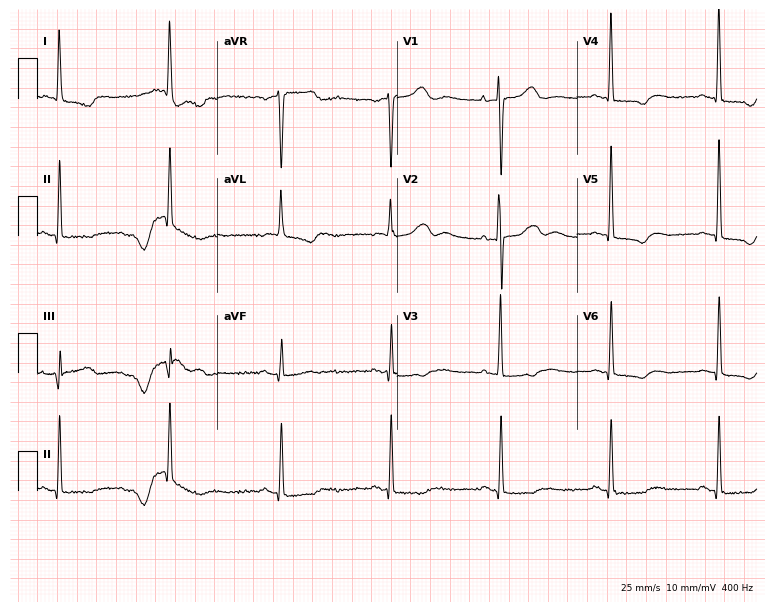
Standard 12-lead ECG recorded from a 76-year-old female patient. None of these six findings is recorded: first-degree AV block, right bundle branch block, left bundle branch block, sinus bradycardia, atrial fibrillation, sinus tachycardia. Findings outside these six are not listed.